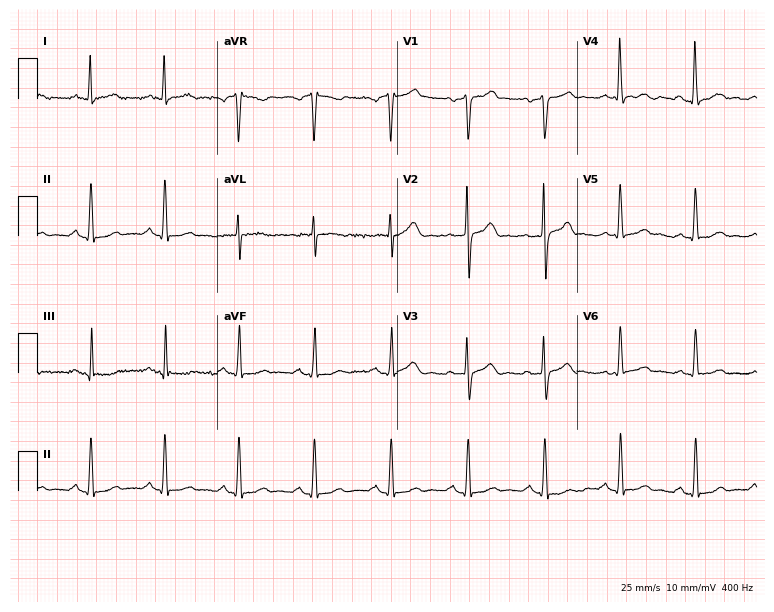
Electrocardiogram, a male, 55 years old. Overall reading on record: normal ECG.